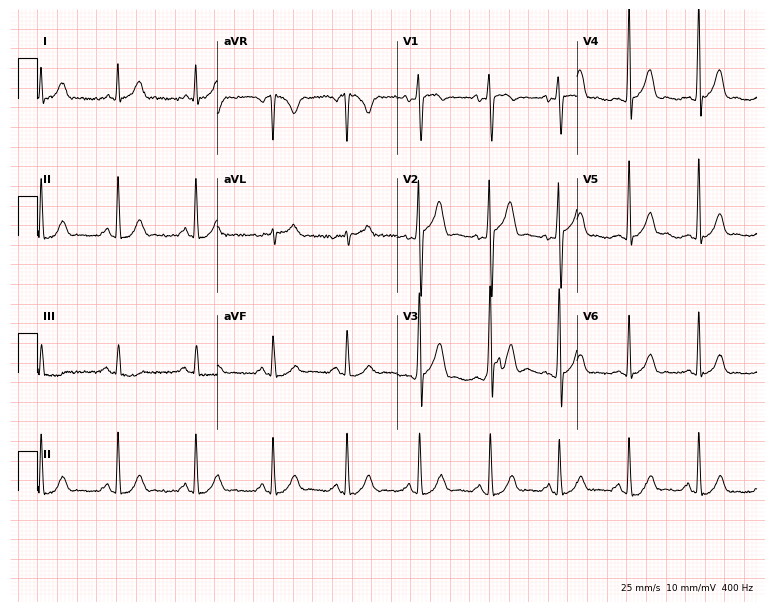
12-lead ECG from a man, 21 years old. Labelled as a normal ECG.